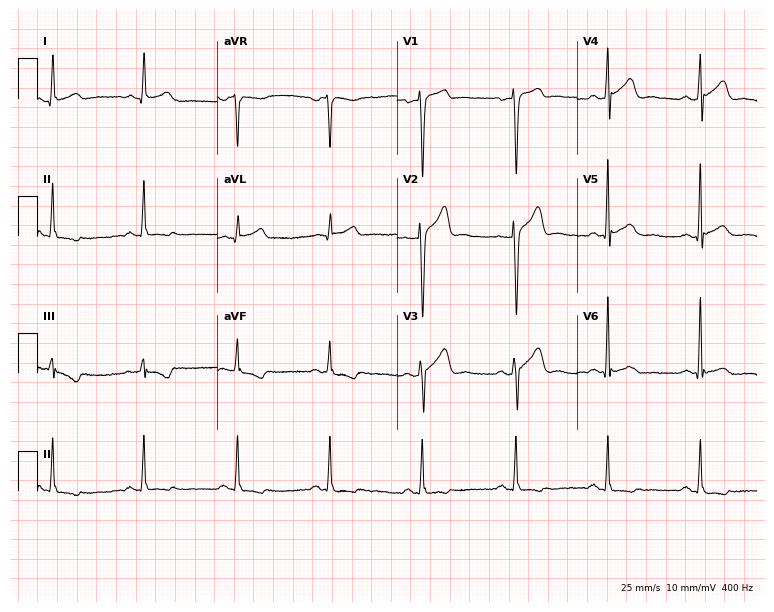
Resting 12-lead electrocardiogram (7.3-second recording at 400 Hz). Patient: a male, 41 years old. None of these six findings is recorded: first-degree AV block, right bundle branch block (RBBB), left bundle branch block (LBBB), sinus bradycardia, atrial fibrillation (AF), sinus tachycardia. Findings outside these six are not listed.